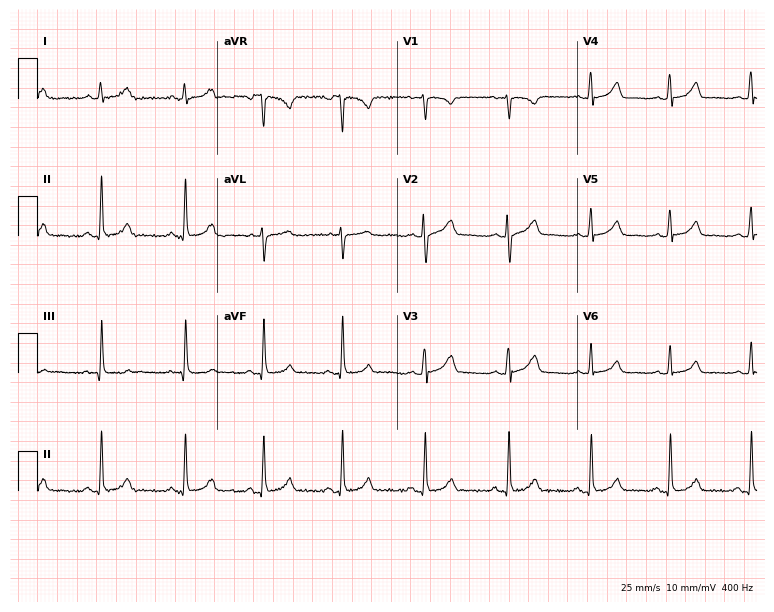
12-lead ECG from a 26-year-old woman (7.3-second recording at 400 Hz). Recorded interpretation: within normal limits.